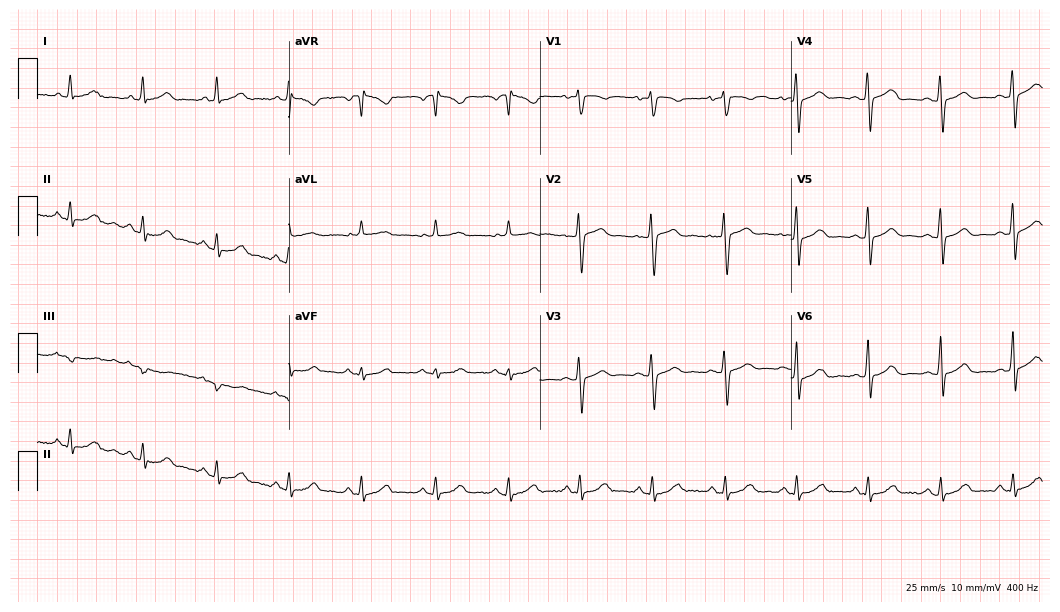
12-lead ECG (10.2-second recording at 400 Hz) from a 42-year-old female patient. Screened for six findings — first-degree AV block, right bundle branch block, left bundle branch block, sinus bradycardia, atrial fibrillation, sinus tachycardia — none is recorded.